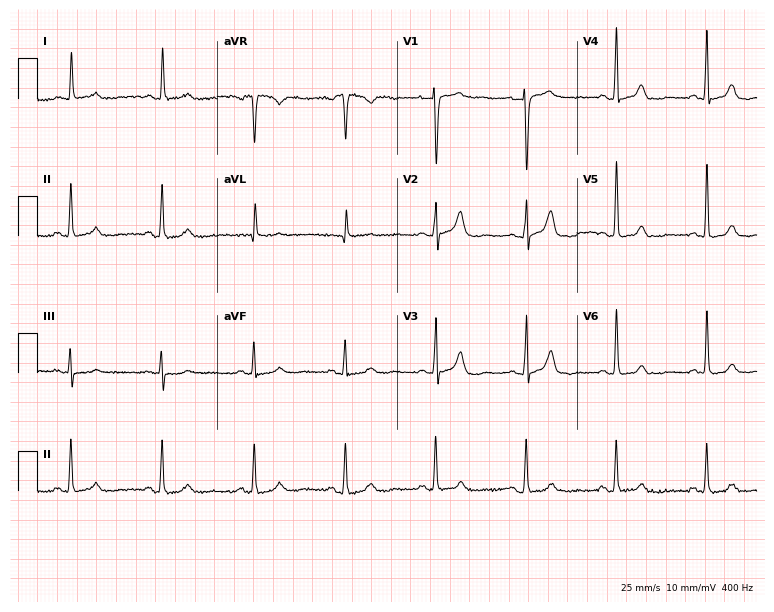
12-lead ECG from a 78-year-old female. Screened for six findings — first-degree AV block, right bundle branch block, left bundle branch block, sinus bradycardia, atrial fibrillation, sinus tachycardia — none is recorded. Only these six findings were labelled.